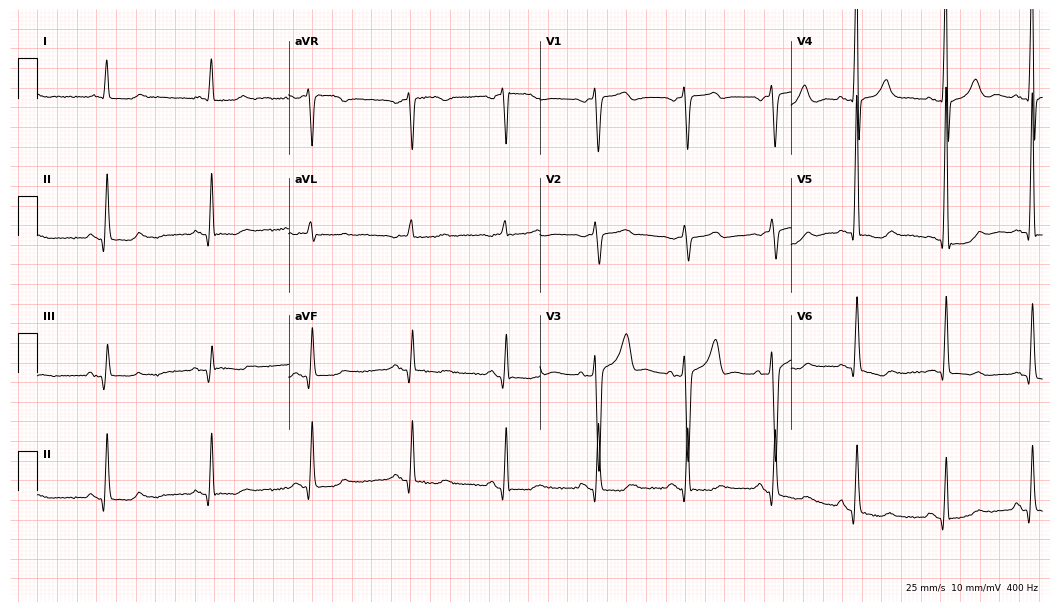
Standard 12-lead ECG recorded from a 69-year-old male patient (10.2-second recording at 400 Hz). None of these six findings is recorded: first-degree AV block, right bundle branch block, left bundle branch block, sinus bradycardia, atrial fibrillation, sinus tachycardia.